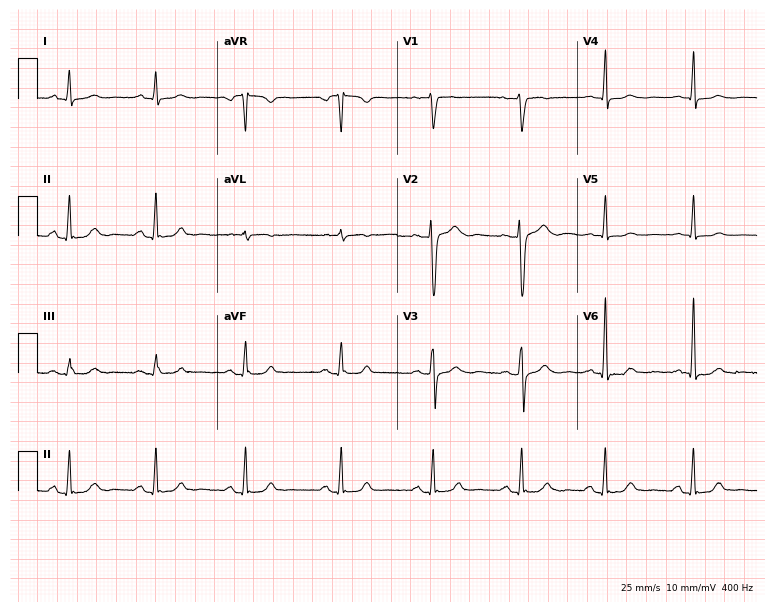
Electrocardiogram, a female, 45 years old. Of the six screened findings (first-degree AV block, right bundle branch block, left bundle branch block, sinus bradycardia, atrial fibrillation, sinus tachycardia), none is recorded.